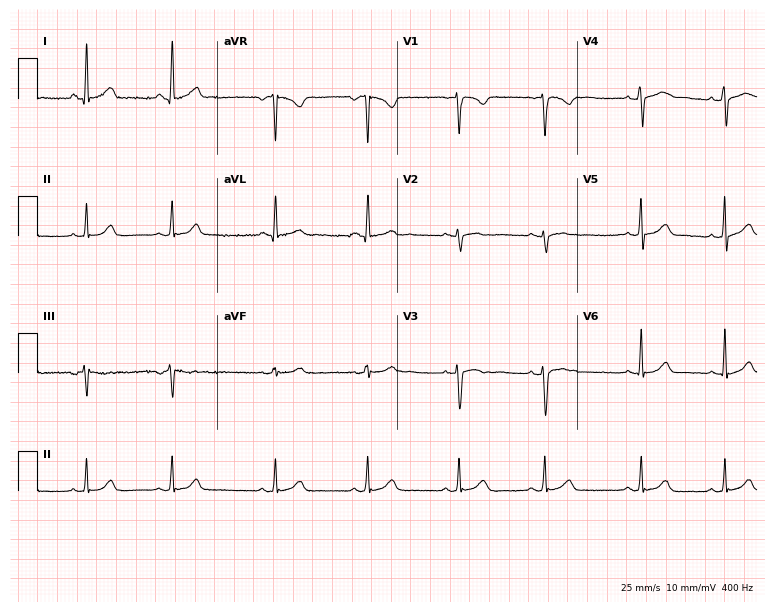
12-lead ECG from a female, 25 years old. Labelled as a normal ECG.